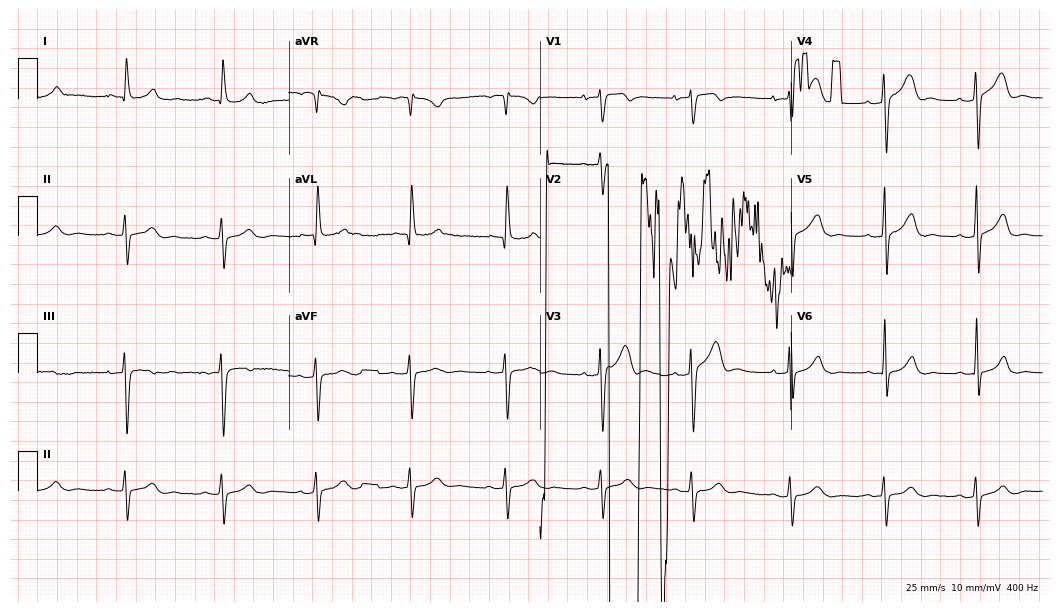
12-lead ECG (10.2-second recording at 400 Hz) from a 66-year-old woman. Screened for six findings — first-degree AV block, right bundle branch block (RBBB), left bundle branch block (LBBB), sinus bradycardia, atrial fibrillation (AF), sinus tachycardia — none is recorded.